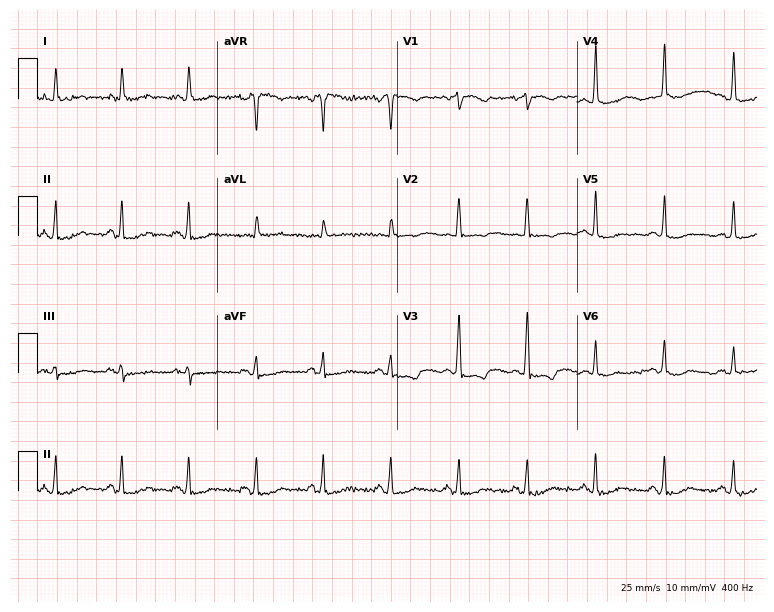
12-lead ECG (7.3-second recording at 400 Hz) from a female patient, 60 years old. Screened for six findings — first-degree AV block, right bundle branch block (RBBB), left bundle branch block (LBBB), sinus bradycardia, atrial fibrillation (AF), sinus tachycardia — none is recorded.